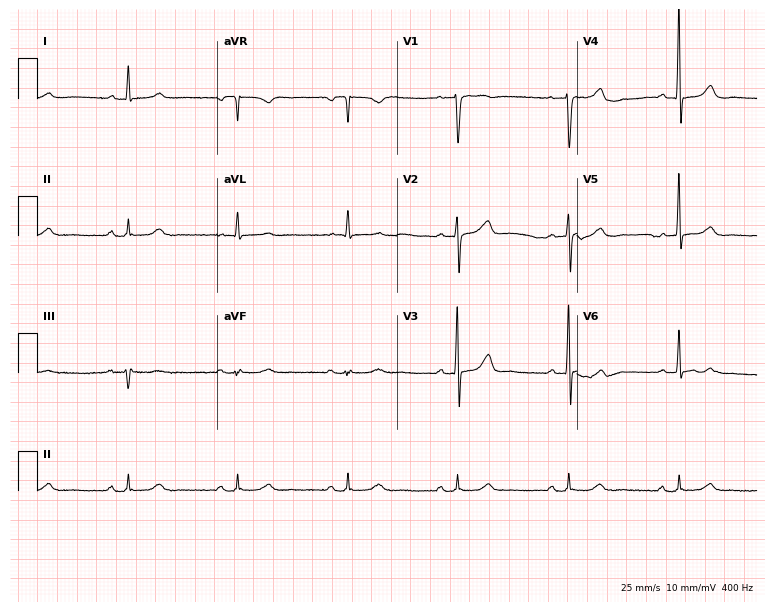
12-lead ECG from a male patient, 67 years old. Recorded interpretation: within normal limits.